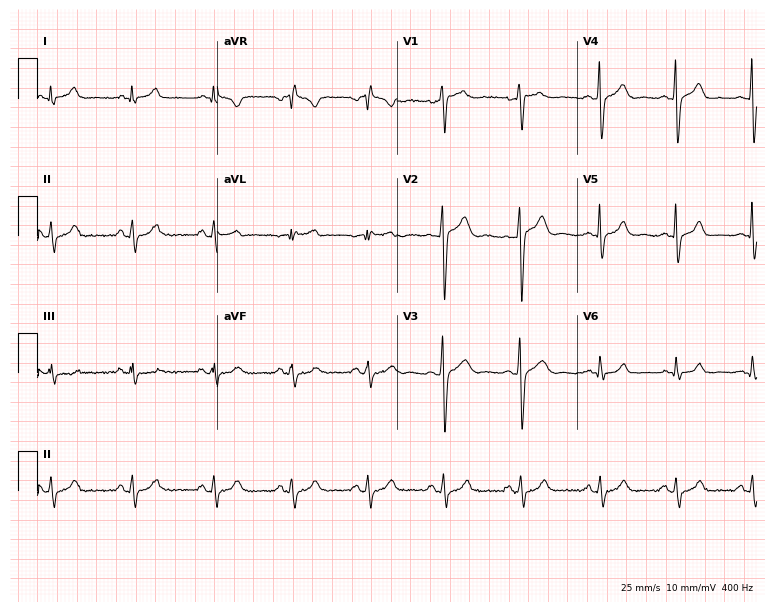
12-lead ECG (7.3-second recording at 400 Hz) from a male, 30 years old. Labelled as a normal ECG.